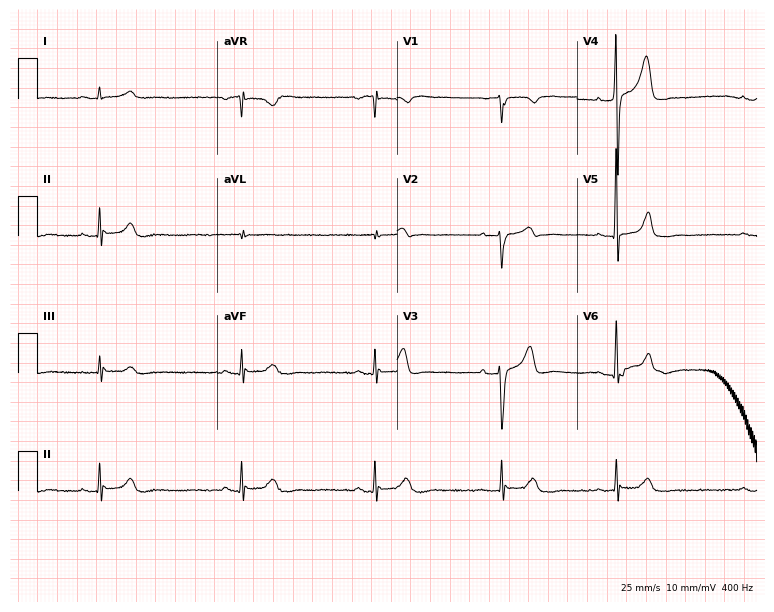
Electrocardiogram (7.3-second recording at 400 Hz), a 69-year-old male patient. Interpretation includes sinus bradycardia (a sinus rate of 50 beats per minute or less).